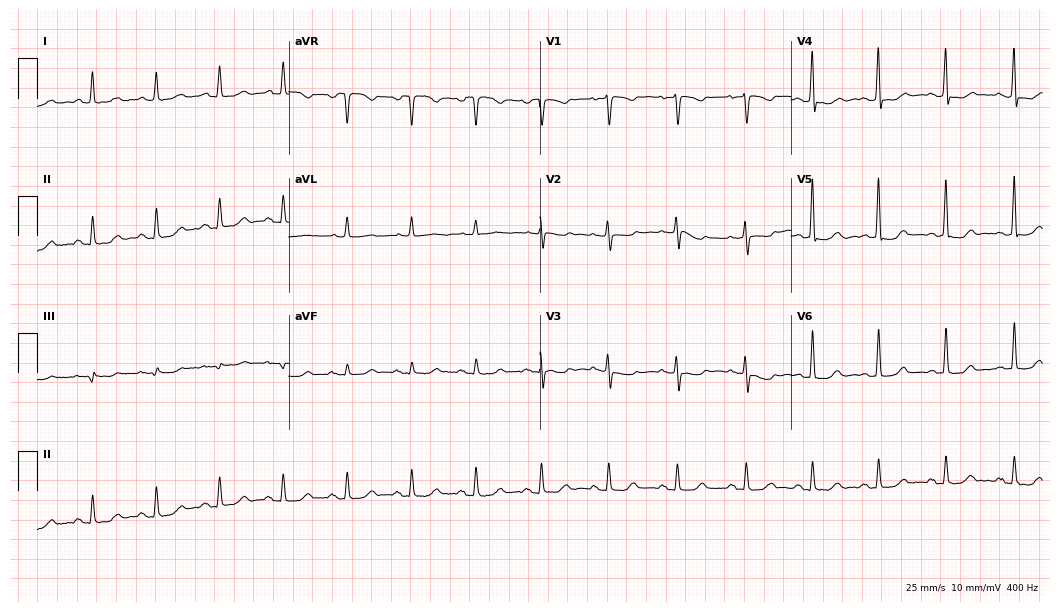
ECG (10.2-second recording at 400 Hz) — a 59-year-old female. Labelled as a normal ECG.